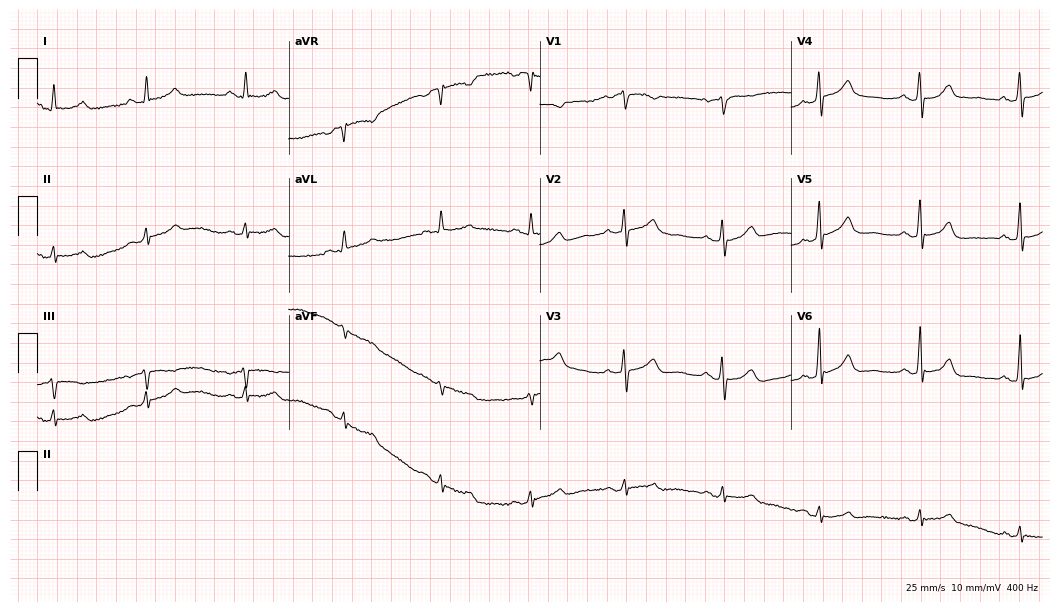
12-lead ECG from a female, 61 years old (10.2-second recording at 400 Hz). Recorded interpretation: within normal limits.